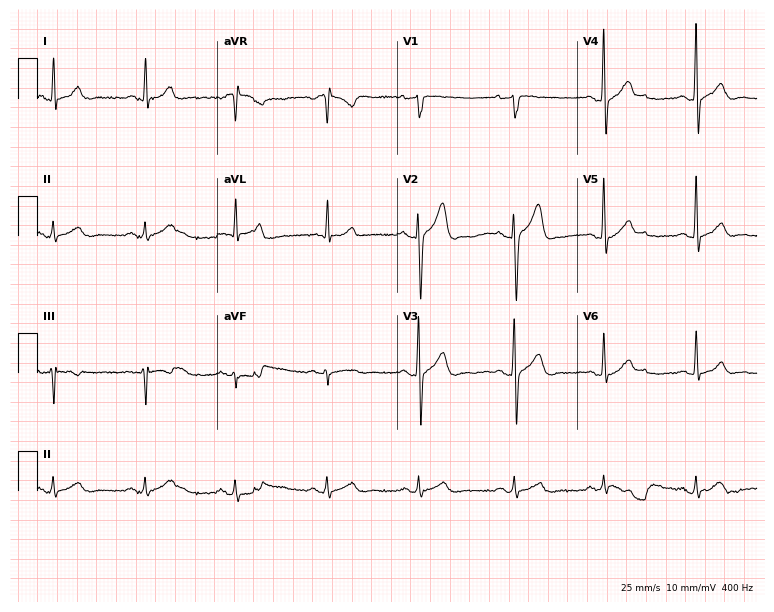
ECG — a 54-year-old male. Labelled as a normal ECG.